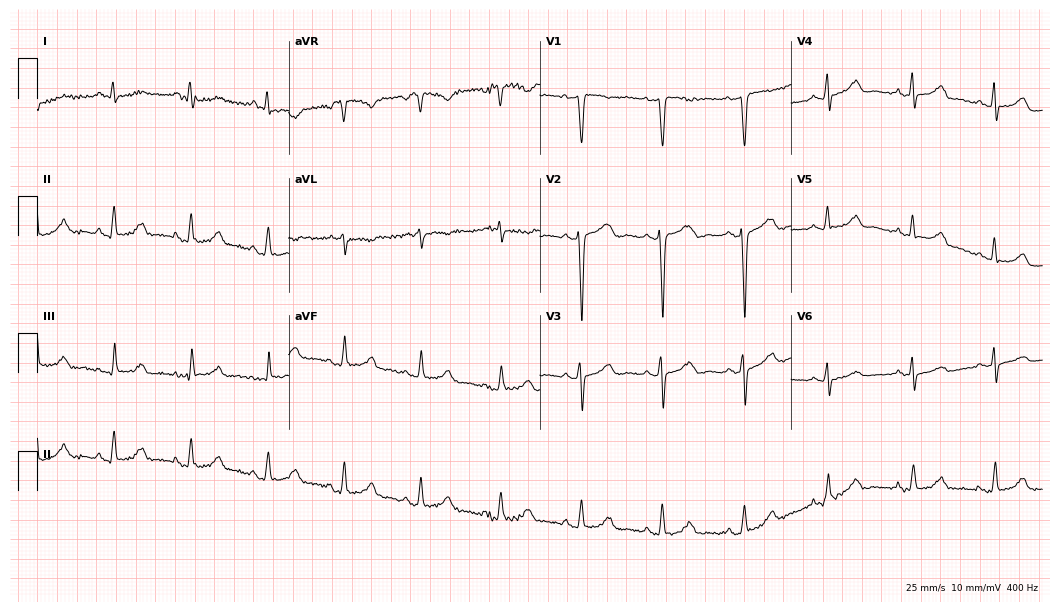
Resting 12-lead electrocardiogram (10.2-second recording at 400 Hz). Patient: a 58-year-old female. None of these six findings is recorded: first-degree AV block, right bundle branch block, left bundle branch block, sinus bradycardia, atrial fibrillation, sinus tachycardia. Only these six findings were labelled.